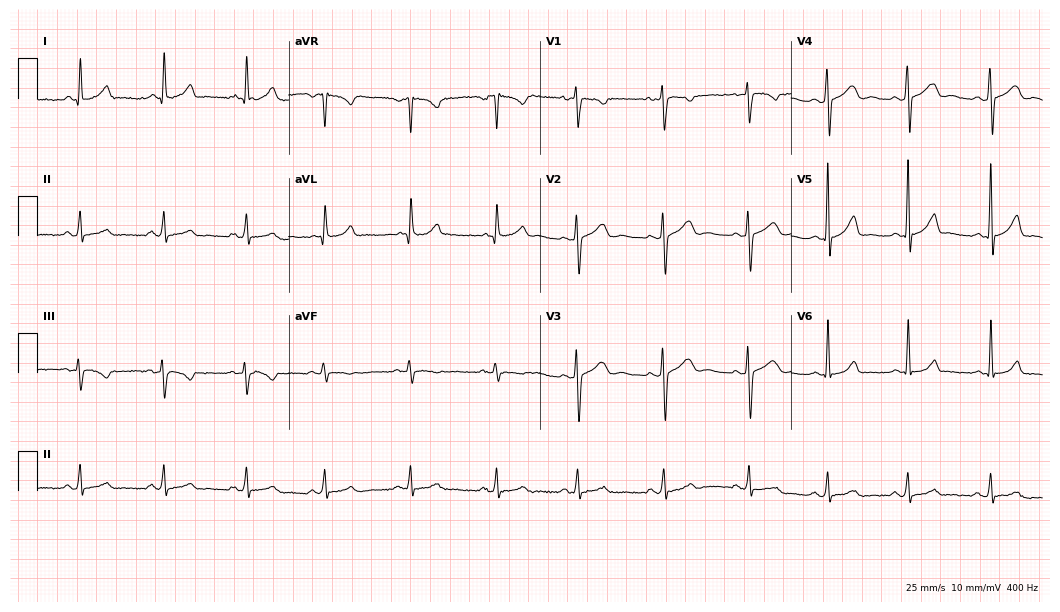
12-lead ECG from a female, 34 years old. Recorded interpretation: within normal limits.